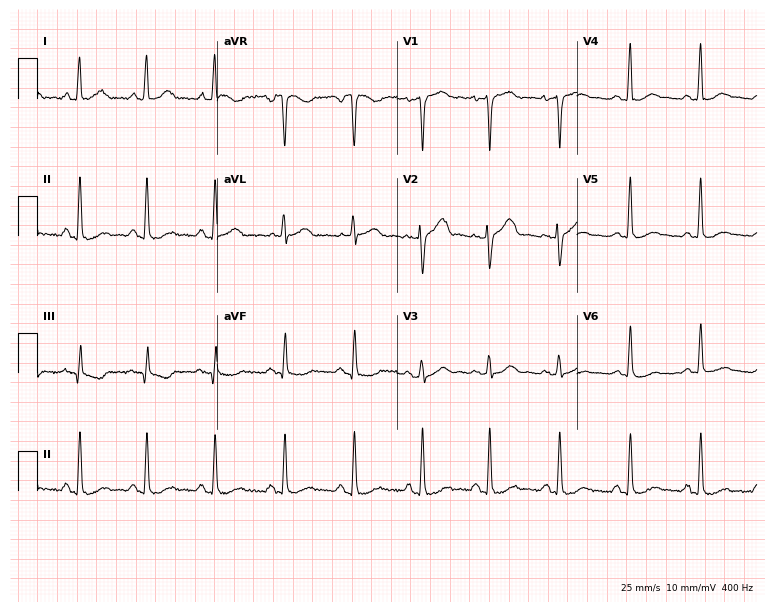
Electrocardiogram, a 59-year-old female. Overall reading on record: normal ECG.